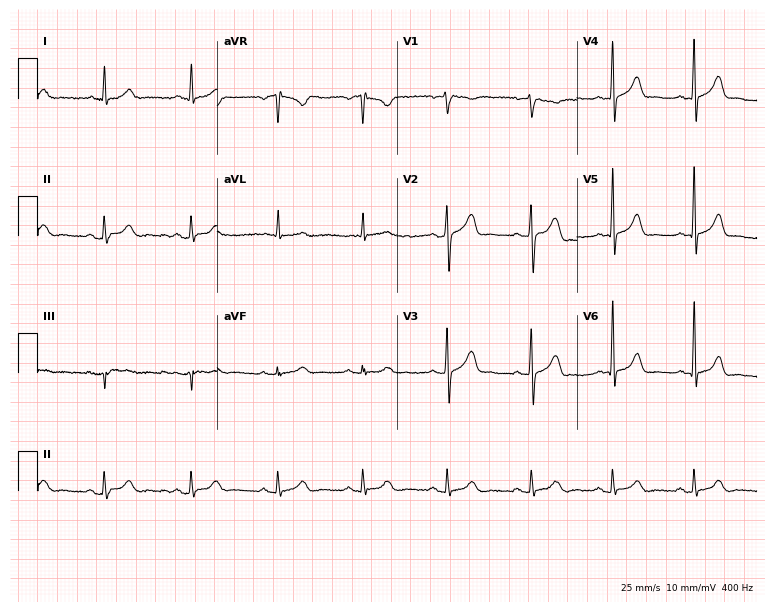
12-lead ECG (7.3-second recording at 400 Hz) from a 70-year-old male. Screened for six findings — first-degree AV block, right bundle branch block, left bundle branch block, sinus bradycardia, atrial fibrillation, sinus tachycardia — none is recorded.